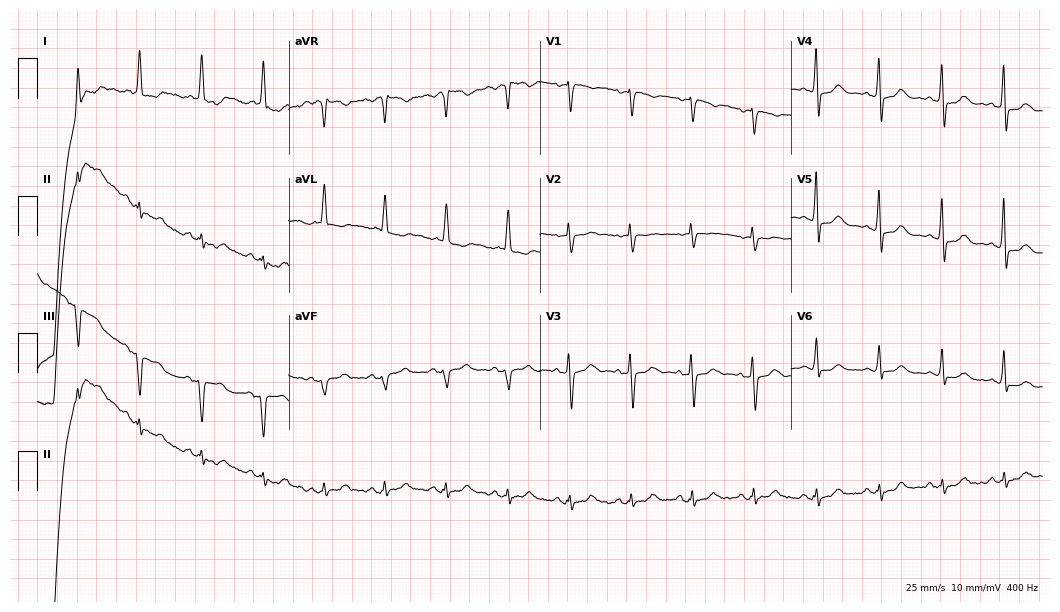
12-lead ECG from a 72-year-old female. Screened for six findings — first-degree AV block, right bundle branch block (RBBB), left bundle branch block (LBBB), sinus bradycardia, atrial fibrillation (AF), sinus tachycardia — none is recorded. Only these six findings were labelled.